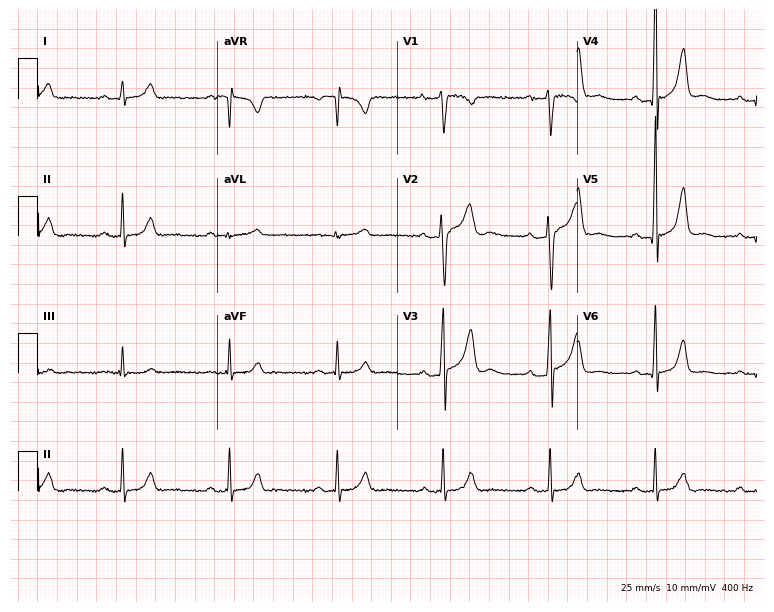
Standard 12-lead ECG recorded from a man, 35 years old. None of these six findings is recorded: first-degree AV block, right bundle branch block (RBBB), left bundle branch block (LBBB), sinus bradycardia, atrial fibrillation (AF), sinus tachycardia. Only these six findings were labelled.